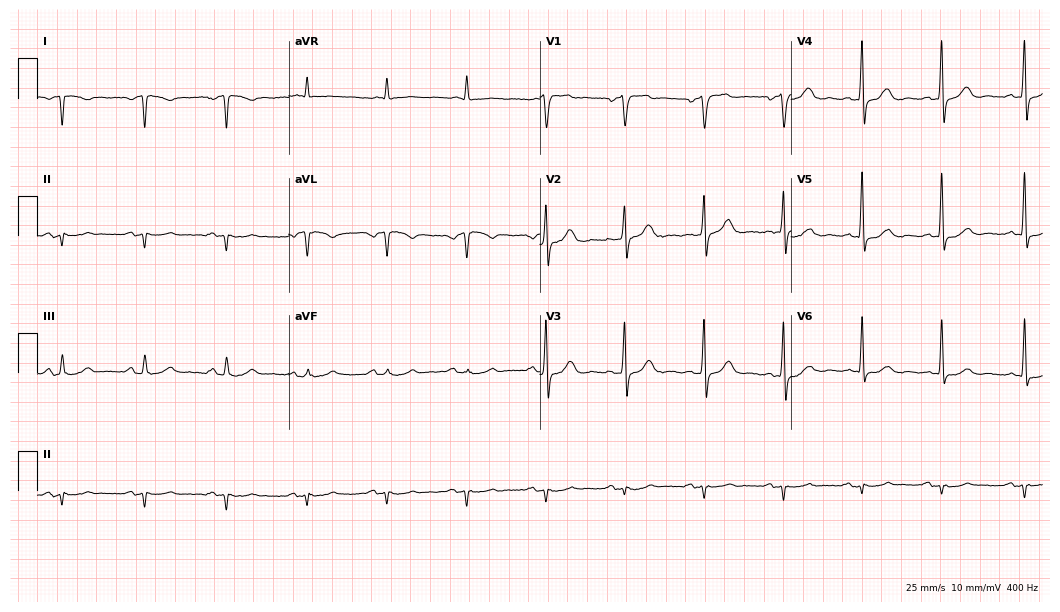
Resting 12-lead electrocardiogram. Patient: a 66-year-old male. None of these six findings is recorded: first-degree AV block, right bundle branch block, left bundle branch block, sinus bradycardia, atrial fibrillation, sinus tachycardia.